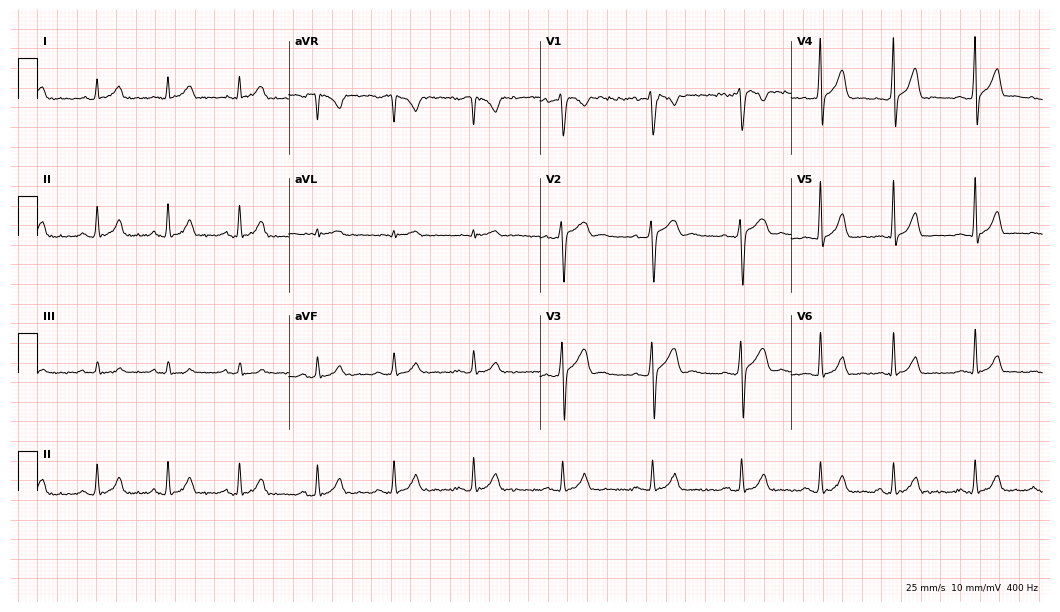
Standard 12-lead ECG recorded from a woman, 24 years old (10.2-second recording at 400 Hz). Read as a normal ECG.